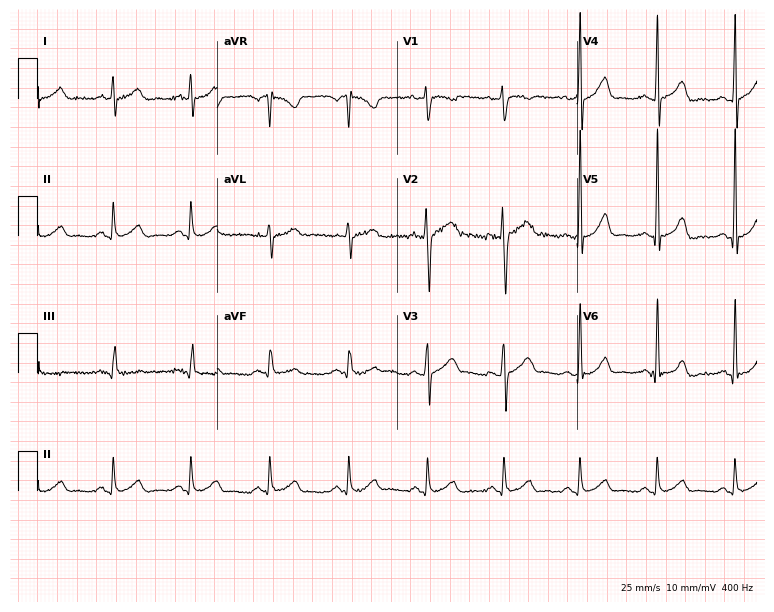
12-lead ECG (7.3-second recording at 400 Hz) from a male patient, 32 years old. Labelled as a normal ECG.